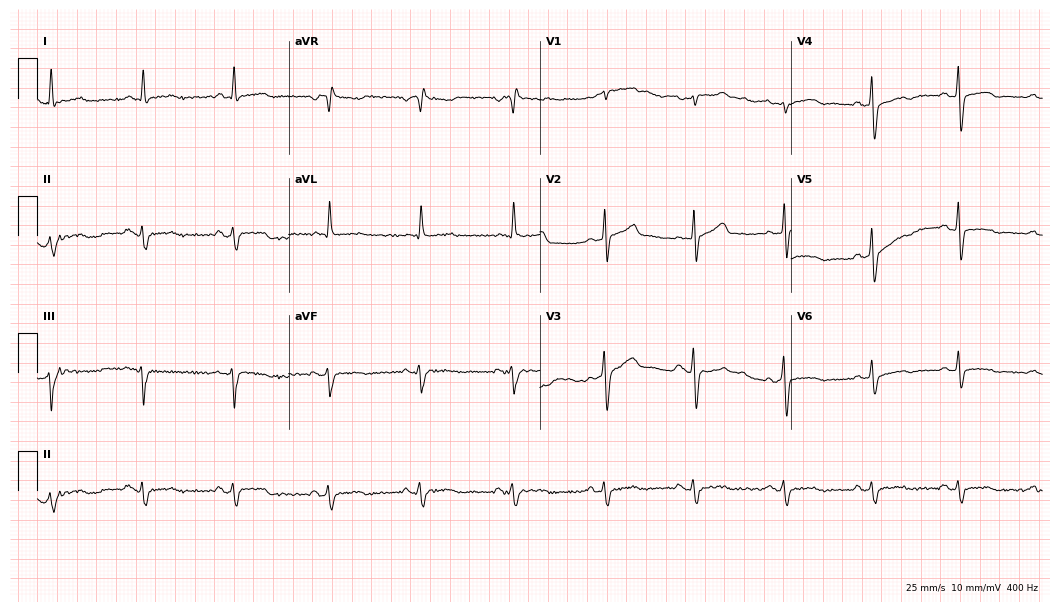
12-lead ECG (10.2-second recording at 400 Hz) from a 53-year-old male patient. Screened for six findings — first-degree AV block, right bundle branch block (RBBB), left bundle branch block (LBBB), sinus bradycardia, atrial fibrillation (AF), sinus tachycardia — none is recorded.